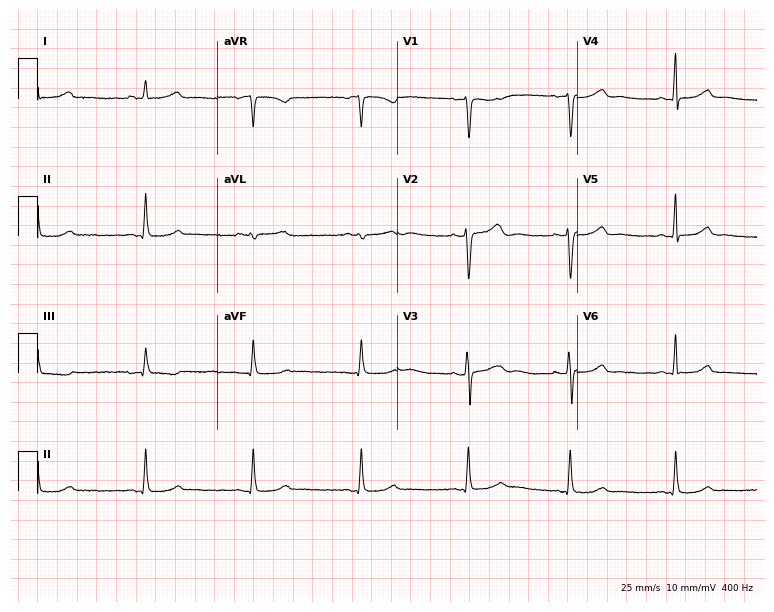
ECG — a female patient, 35 years old. Screened for six findings — first-degree AV block, right bundle branch block (RBBB), left bundle branch block (LBBB), sinus bradycardia, atrial fibrillation (AF), sinus tachycardia — none is recorded. Findings outside these six are not listed.